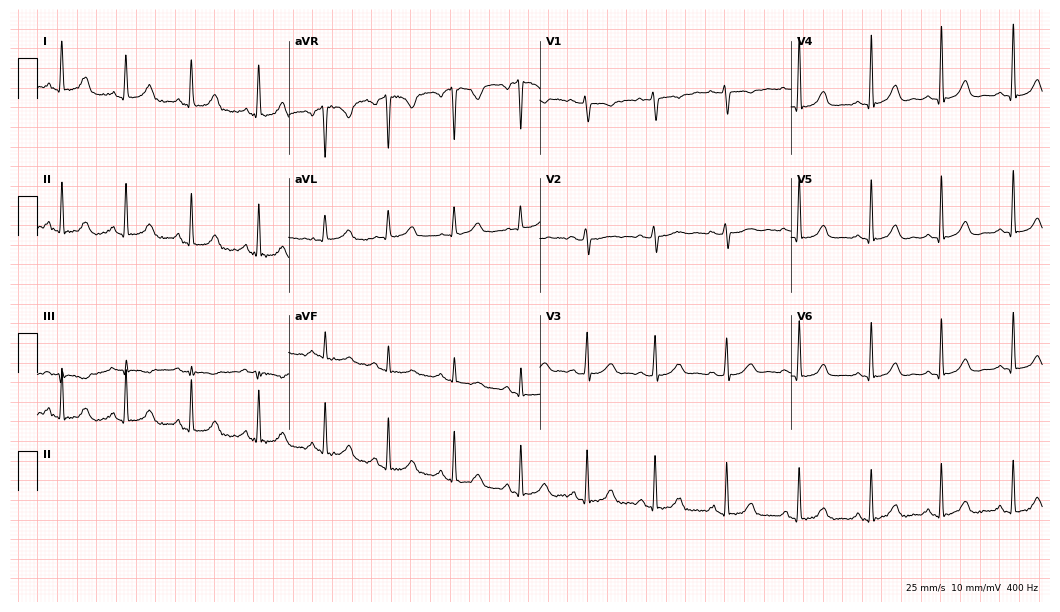
Resting 12-lead electrocardiogram. Patient: a 32-year-old female. None of these six findings is recorded: first-degree AV block, right bundle branch block, left bundle branch block, sinus bradycardia, atrial fibrillation, sinus tachycardia. Other findings, if any, are not listed.